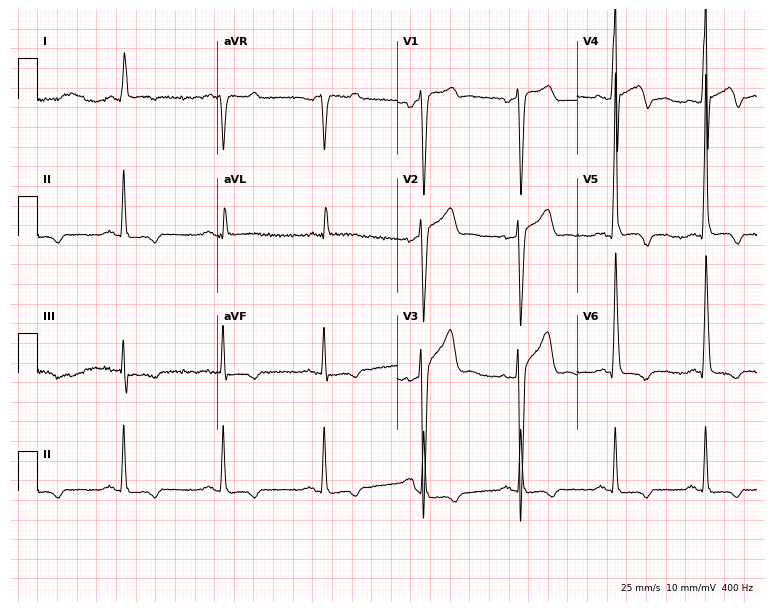
12-lead ECG from a 43-year-old male patient (7.3-second recording at 400 Hz). No first-degree AV block, right bundle branch block (RBBB), left bundle branch block (LBBB), sinus bradycardia, atrial fibrillation (AF) or sinus tachycardia recorded for this tracing.